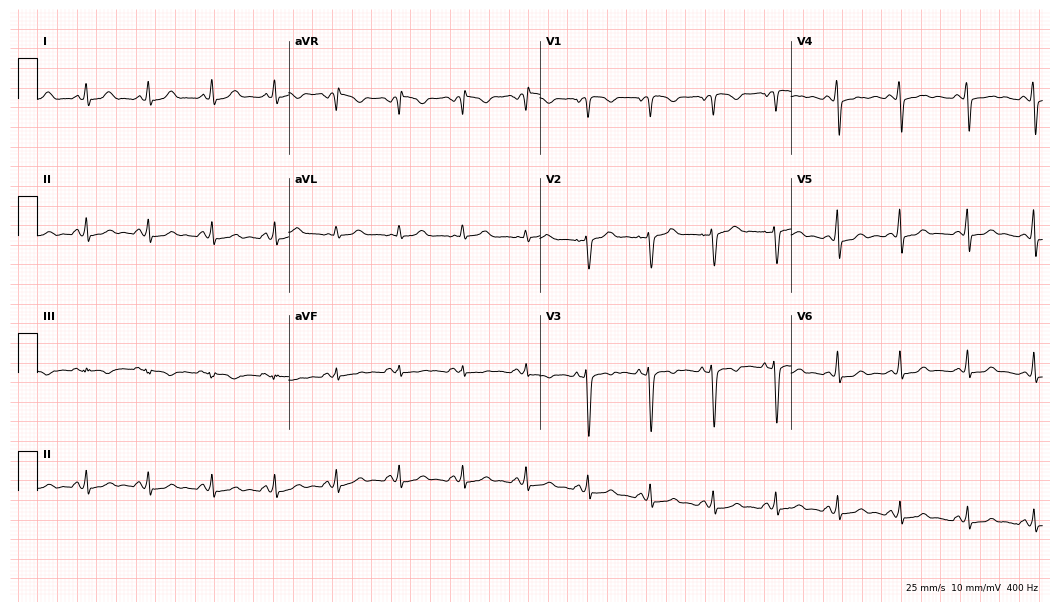
12-lead ECG from a 46-year-old female patient (10.2-second recording at 400 Hz). Recorded interpretation: within normal limits.